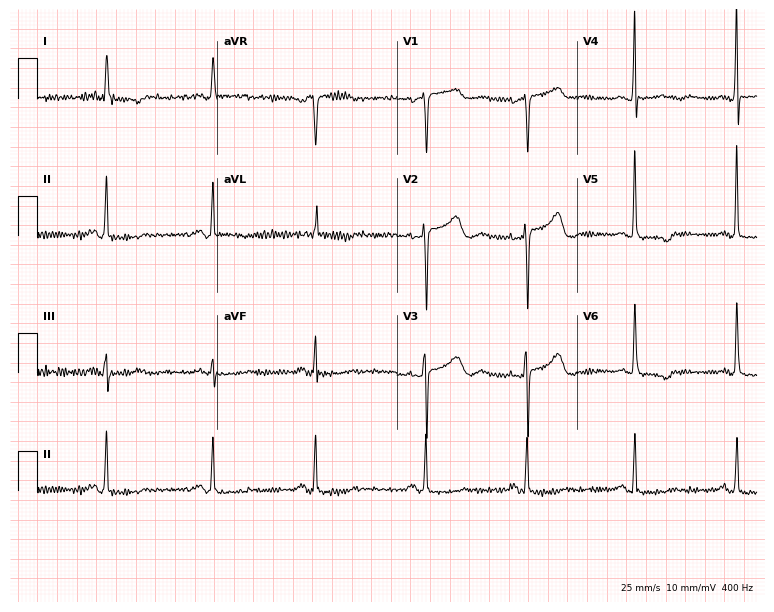
12-lead ECG from a woman, 76 years old. Screened for six findings — first-degree AV block, right bundle branch block, left bundle branch block, sinus bradycardia, atrial fibrillation, sinus tachycardia — none is recorded. Findings outside these six are not listed.